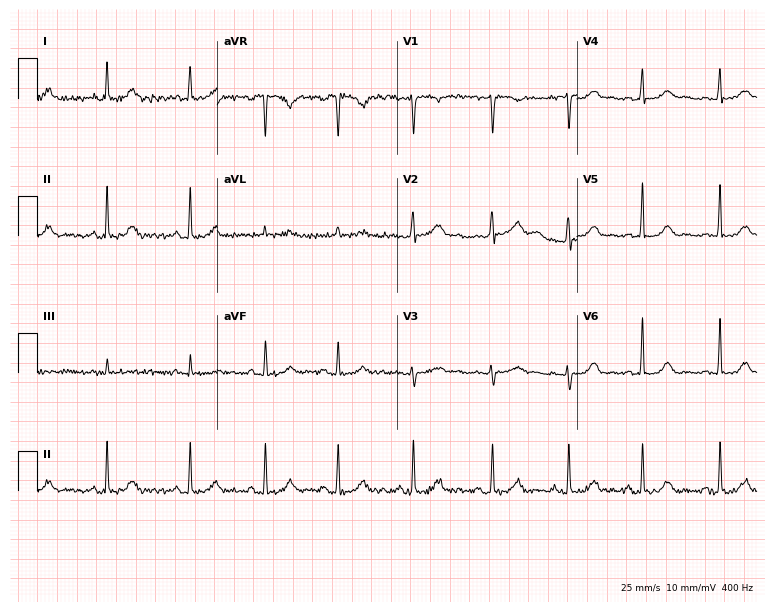
Standard 12-lead ECG recorded from a female patient, 28 years old (7.3-second recording at 400 Hz). Read as a normal ECG.